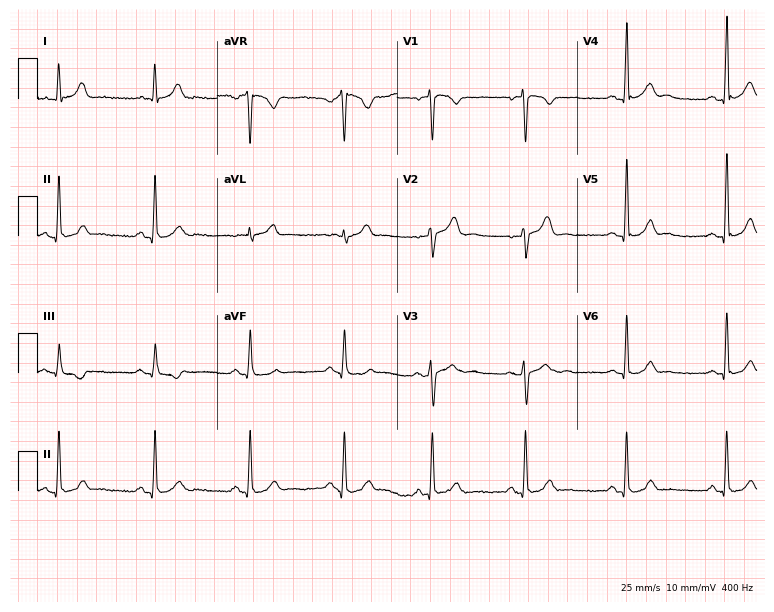
Standard 12-lead ECG recorded from a 42-year-old female patient (7.3-second recording at 400 Hz). Read as a normal ECG.